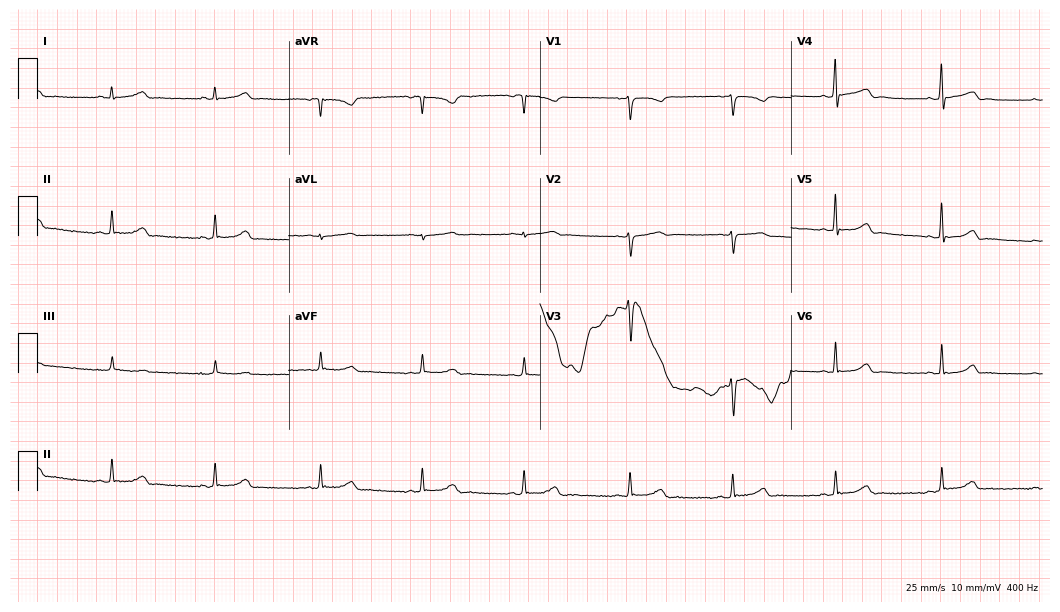
Standard 12-lead ECG recorded from a 33-year-old female patient (10.2-second recording at 400 Hz). Read as a normal ECG.